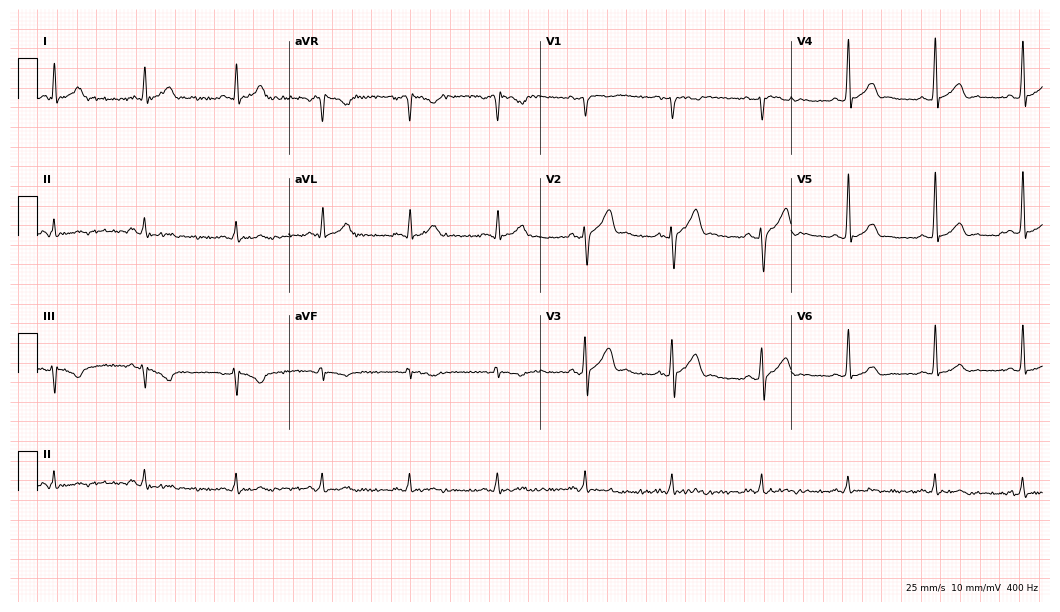
Resting 12-lead electrocardiogram (10.2-second recording at 400 Hz). Patient: a 35-year-old male. None of these six findings is recorded: first-degree AV block, right bundle branch block, left bundle branch block, sinus bradycardia, atrial fibrillation, sinus tachycardia.